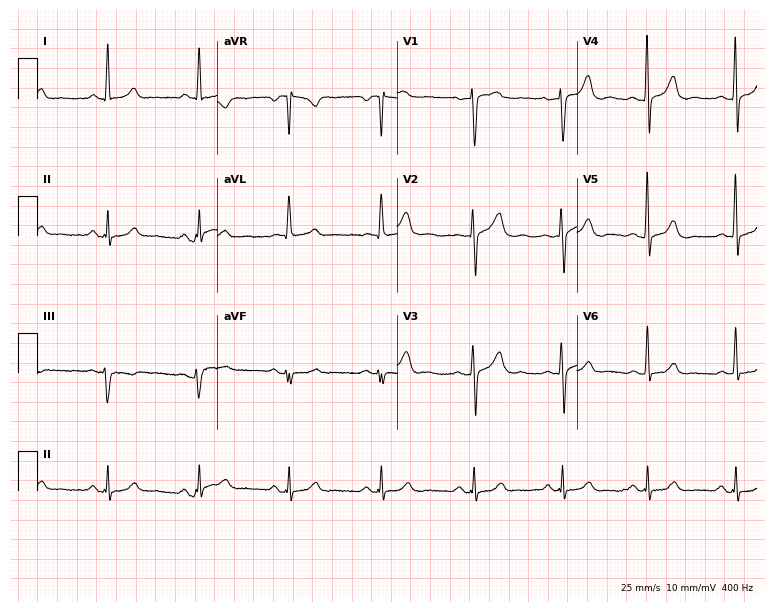
12-lead ECG from a woman, 46 years old (7.3-second recording at 400 Hz). Recorded interpretation: within normal limits.